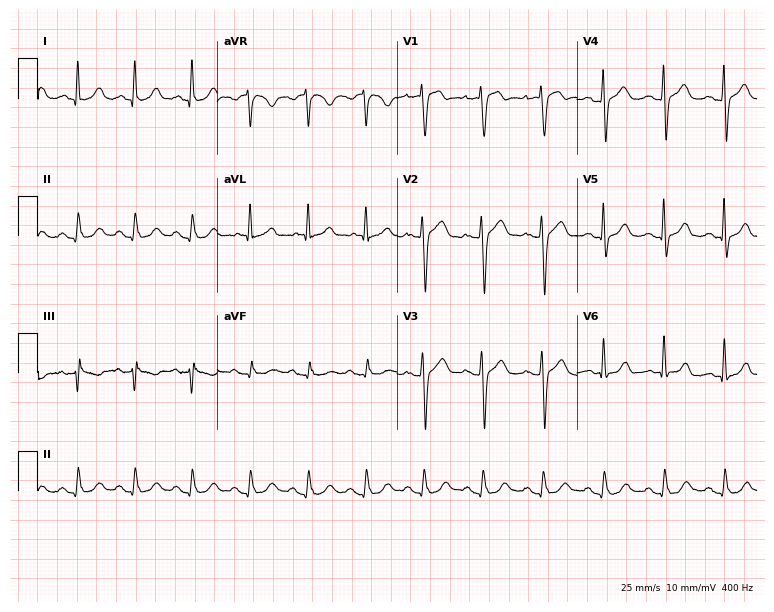
ECG (7.3-second recording at 400 Hz) — a 52-year-old woman. Labelled as a normal ECG.